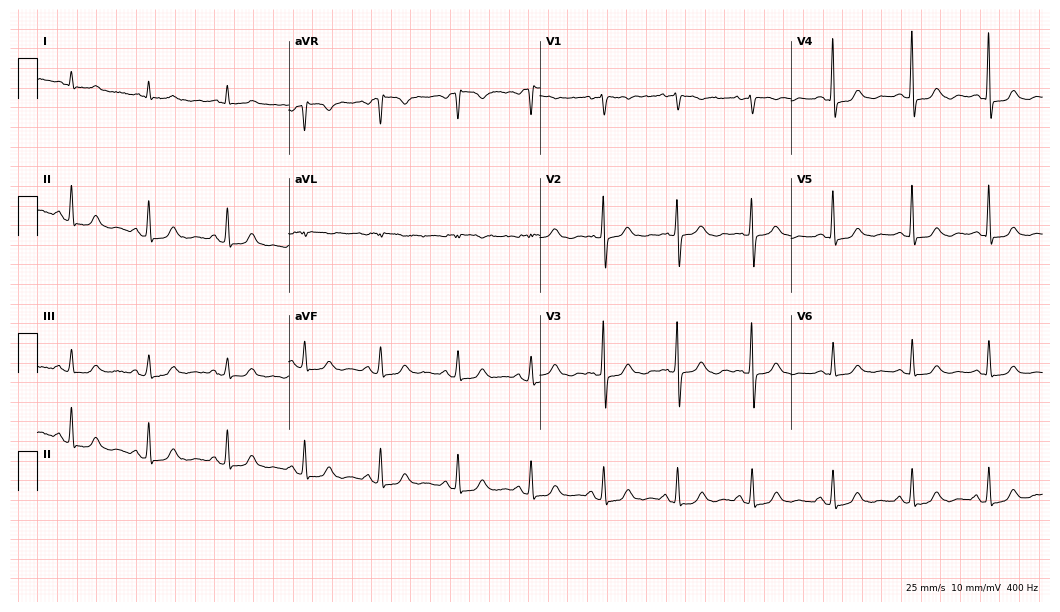
12-lead ECG from a woman, 74 years old. Labelled as a normal ECG.